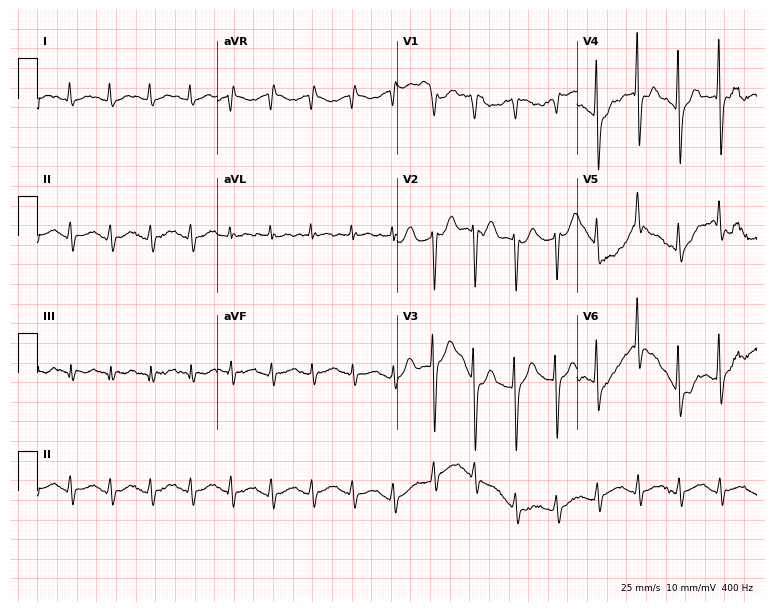
12-lead ECG from a 53-year-old male patient (7.3-second recording at 400 Hz). Shows sinus tachycardia (a sinus rate of 100 beats per minute or more).